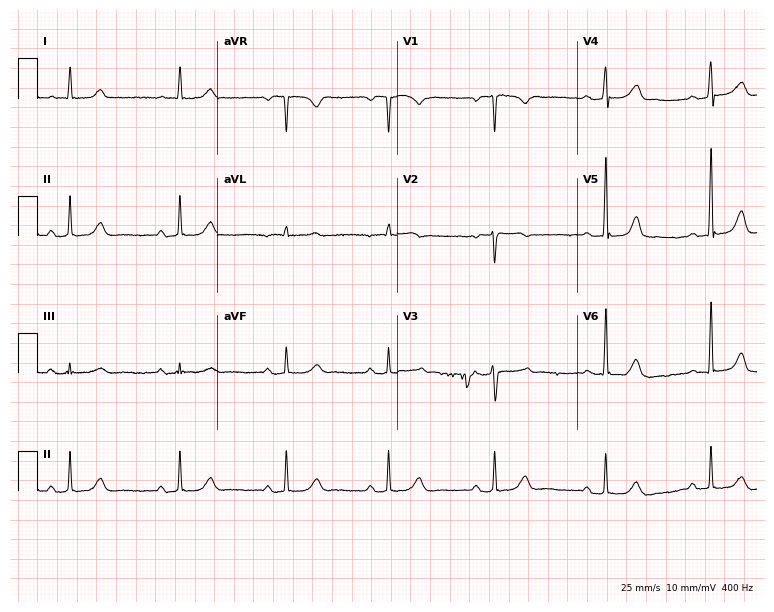
Standard 12-lead ECG recorded from a female, 50 years old (7.3-second recording at 400 Hz). Read as a normal ECG.